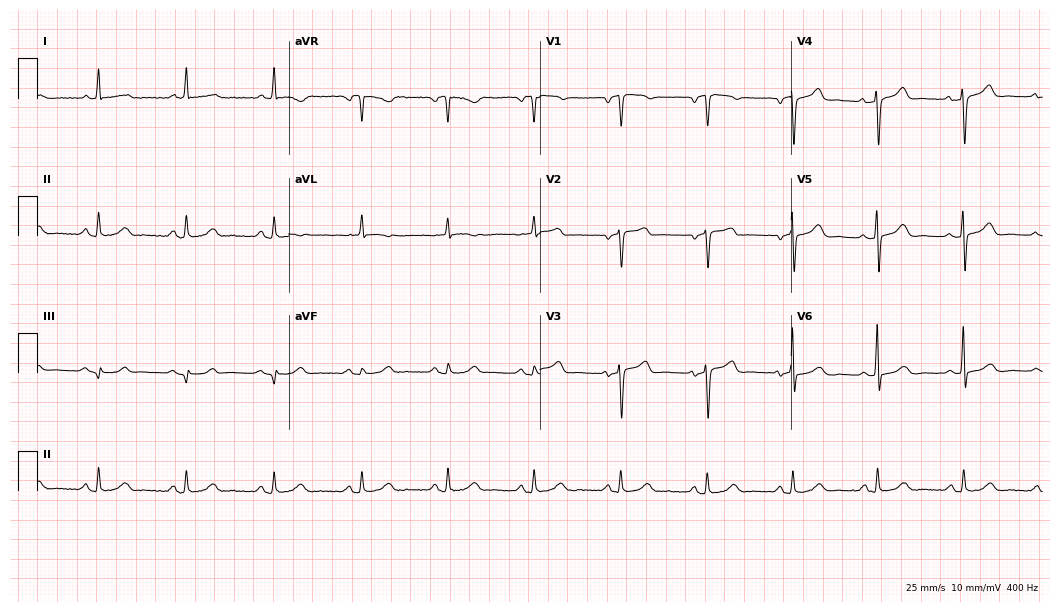
ECG (10.2-second recording at 400 Hz) — a female, 65 years old. Screened for six findings — first-degree AV block, right bundle branch block (RBBB), left bundle branch block (LBBB), sinus bradycardia, atrial fibrillation (AF), sinus tachycardia — none is recorded. Only these six findings were labelled.